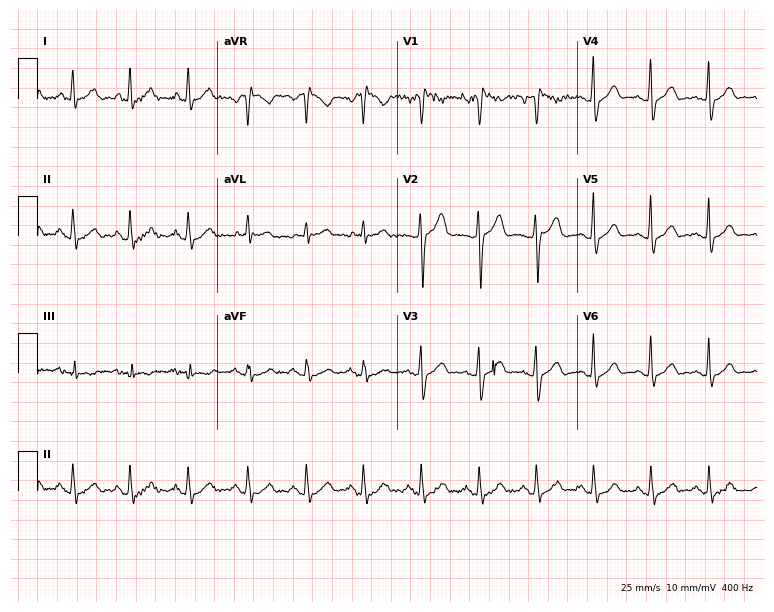
Standard 12-lead ECG recorded from a 61-year-old male (7.3-second recording at 400 Hz). Read as a normal ECG.